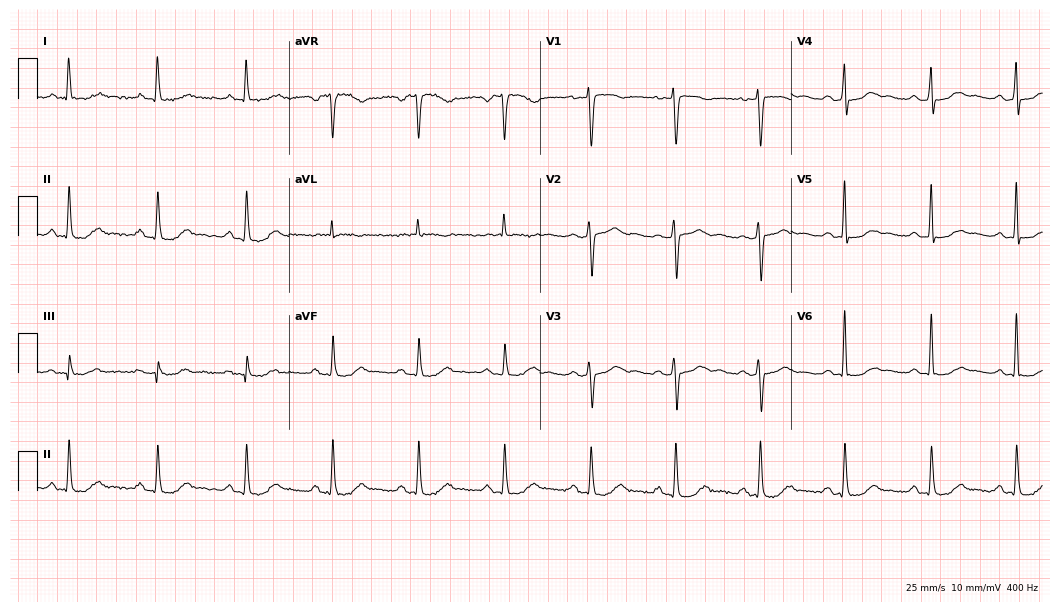
12-lead ECG from a 71-year-old woman (10.2-second recording at 400 Hz). Recorded interpretation: within normal limits.